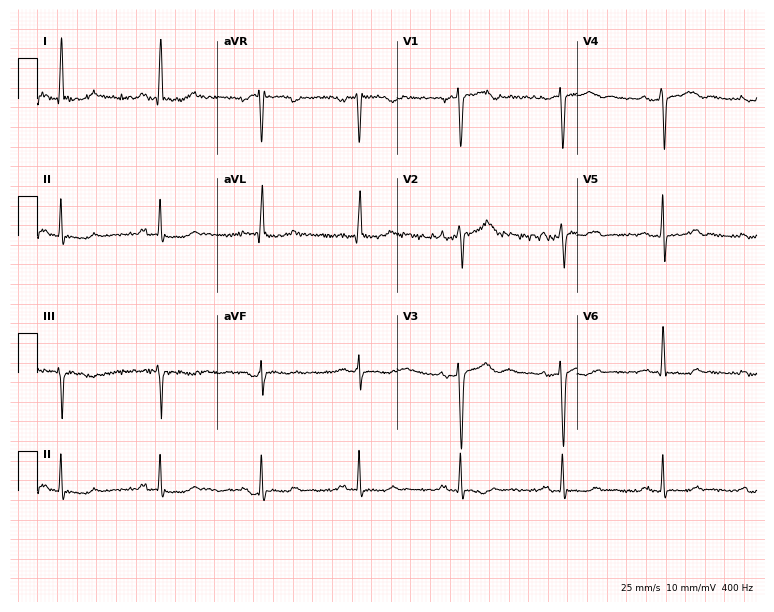
12-lead ECG from a woman, 49 years old. Labelled as a normal ECG.